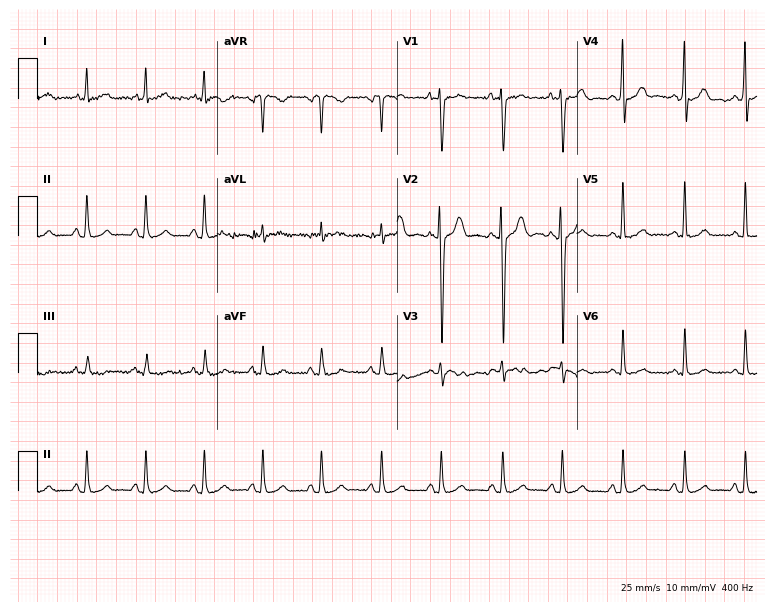
12-lead ECG from a 20-year-old male patient. Recorded interpretation: within normal limits.